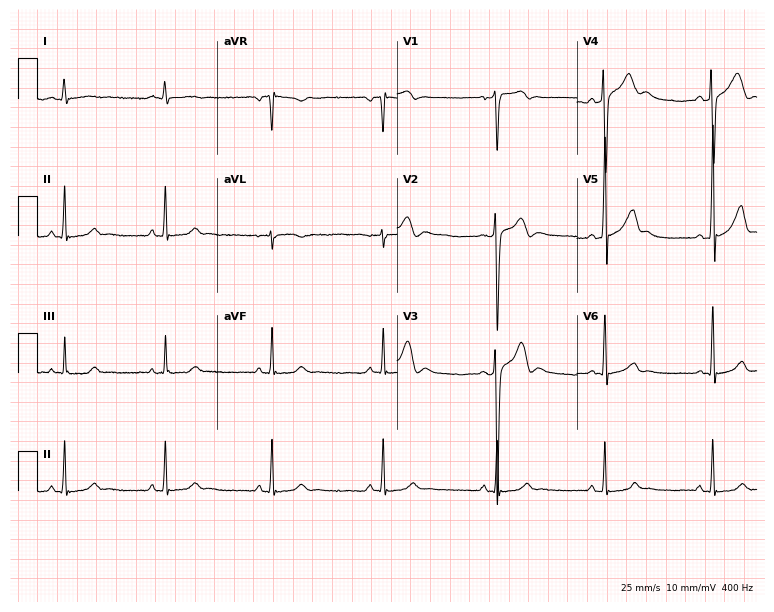
Resting 12-lead electrocardiogram (7.3-second recording at 400 Hz). Patient: a man, 23 years old. None of these six findings is recorded: first-degree AV block, right bundle branch block, left bundle branch block, sinus bradycardia, atrial fibrillation, sinus tachycardia. Findings outside these six are not listed.